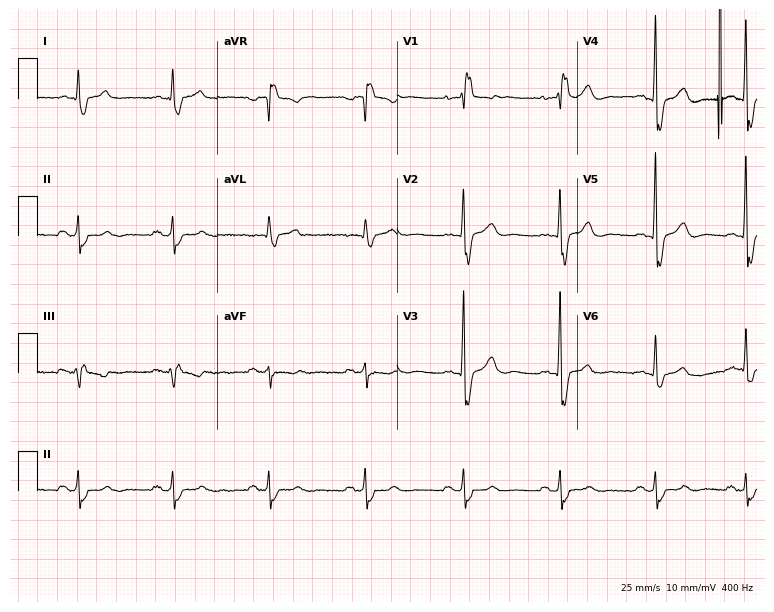
12-lead ECG (7.3-second recording at 400 Hz) from a 52-year-old male patient. Screened for six findings — first-degree AV block, right bundle branch block, left bundle branch block, sinus bradycardia, atrial fibrillation, sinus tachycardia — none is recorded. Other findings, if any, are not listed.